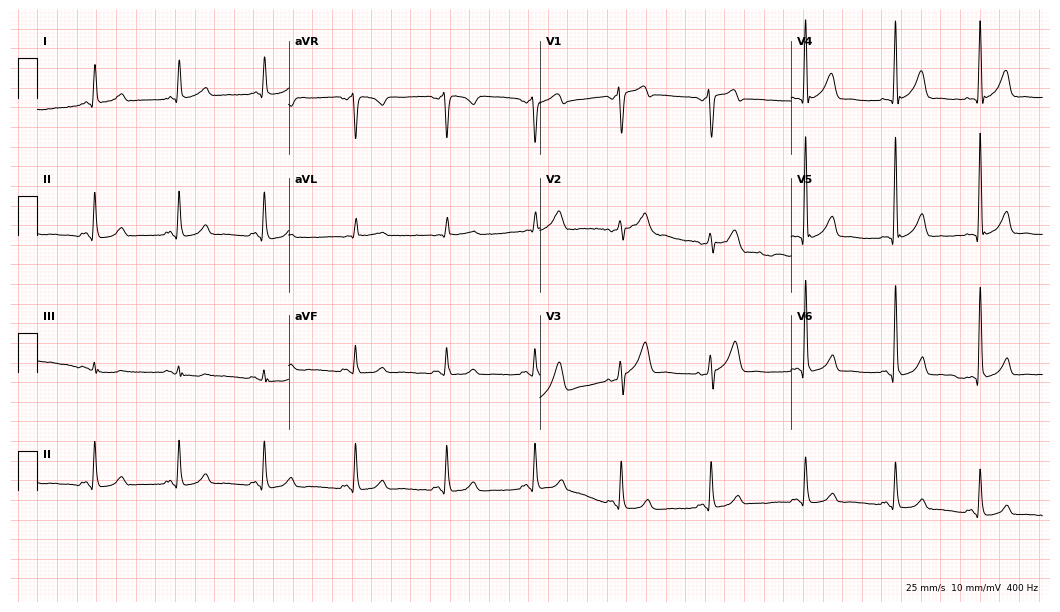
ECG (10.2-second recording at 400 Hz) — a male patient, 60 years old. Labelled as a normal ECG.